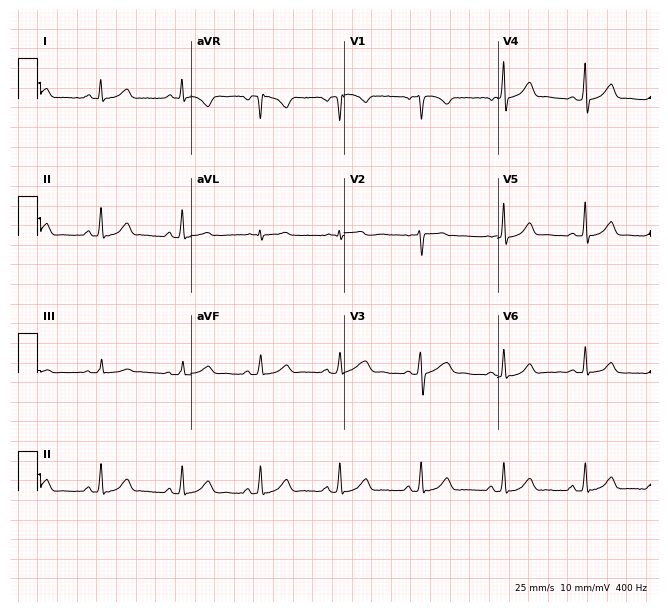
12-lead ECG from a 27-year-old female patient. Screened for six findings — first-degree AV block, right bundle branch block, left bundle branch block, sinus bradycardia, atrial fibrillation, sinus tachycardia — none is recorded.